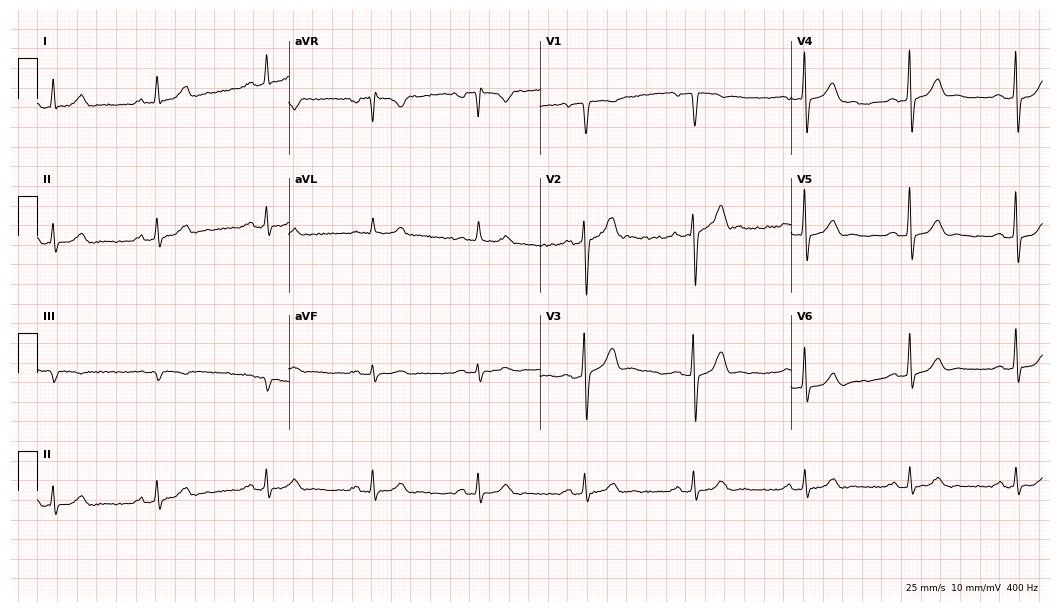
Resting 12-lead electrocardiogram (10.2-second recording at 400 Hz). Patient: a male, 60 years old. Read as a normal ECG.